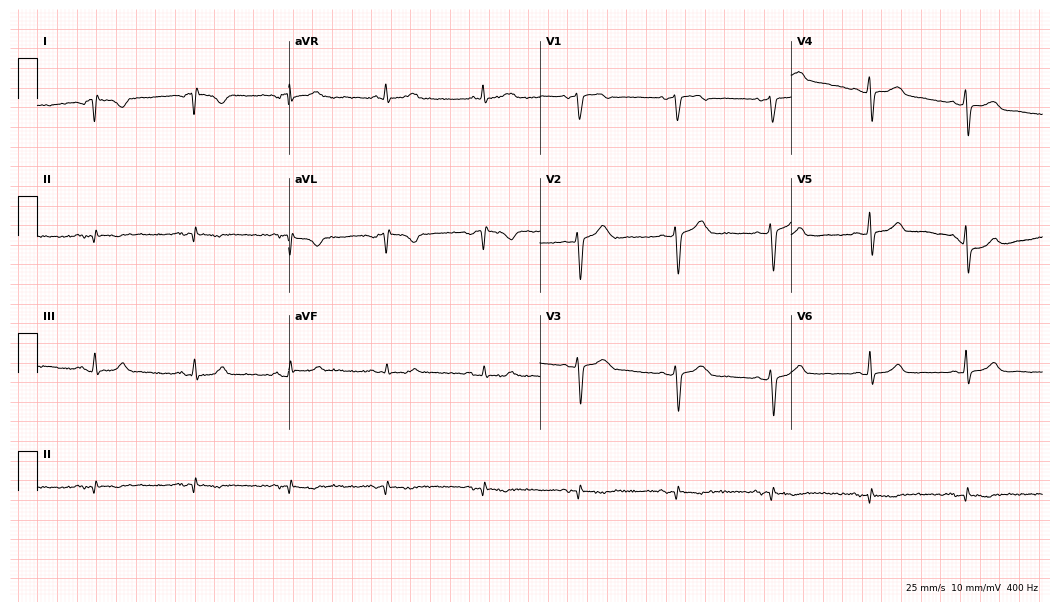
Resting 12-lead electrocardiogram. Patient: a 66-year-old female. None of these six findings is recorded: first-degree AV block, right bundle branch block, left bundle branch block, sinus bradycardia, atrial fibrillation, sinus tachycardia.